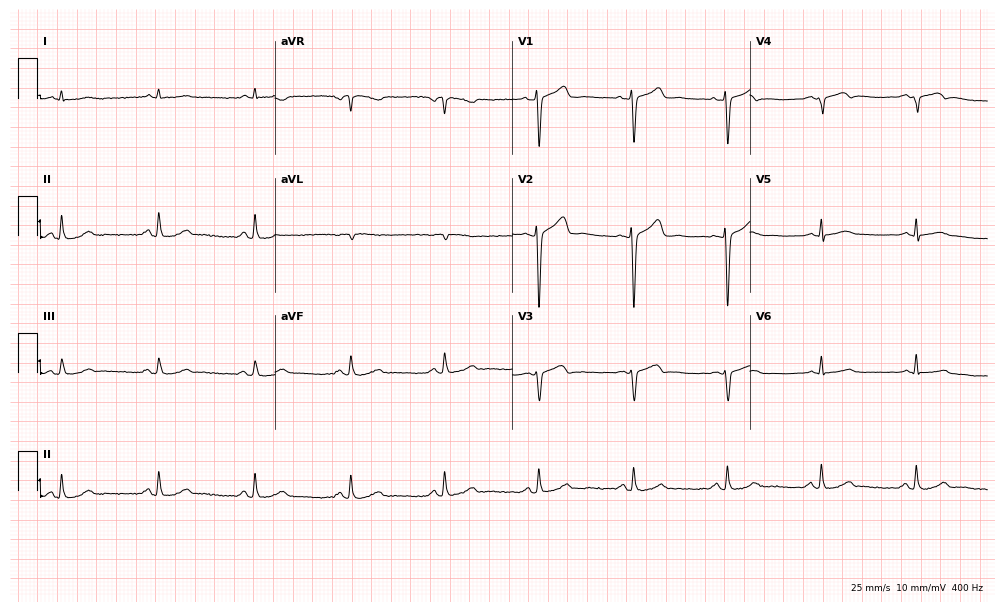
ECG (9.7-second recording at 400 Hz) — a male, 63 years old. Labelled as a normal ECG.